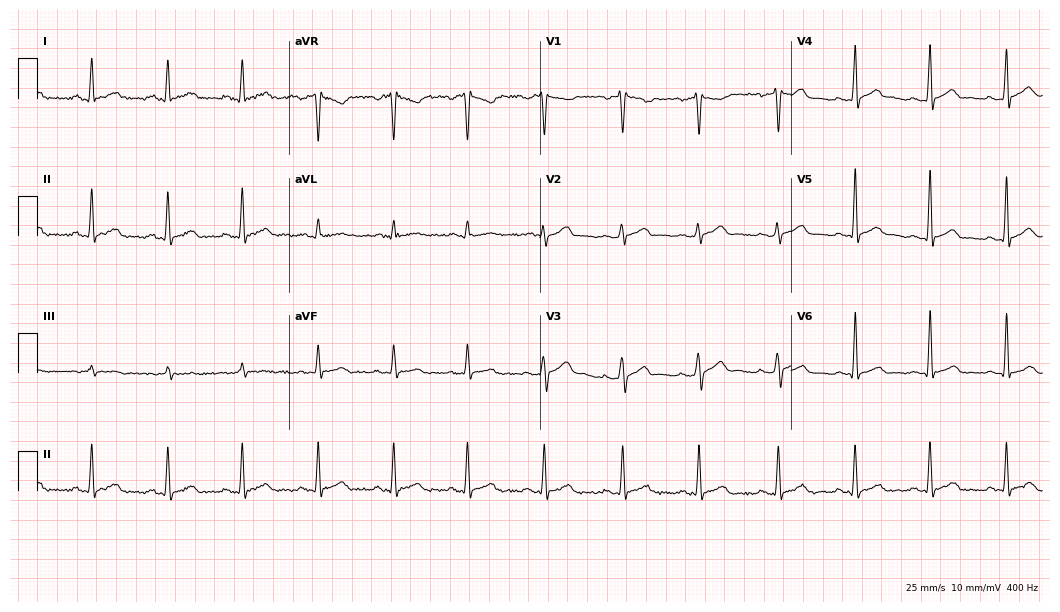
ECG — a 27-year-old man. Labelled as a normal ECG.